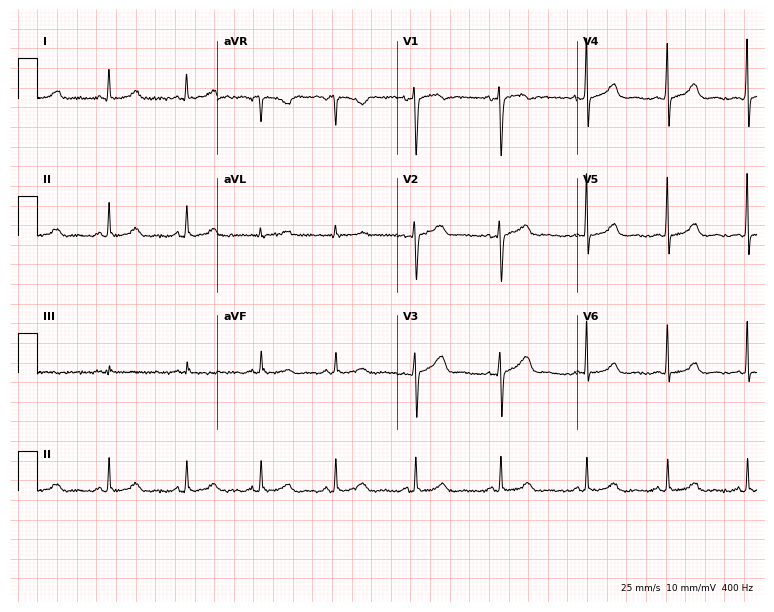
ECG — a 44-year-old woman. Labelled as a normal ECG.